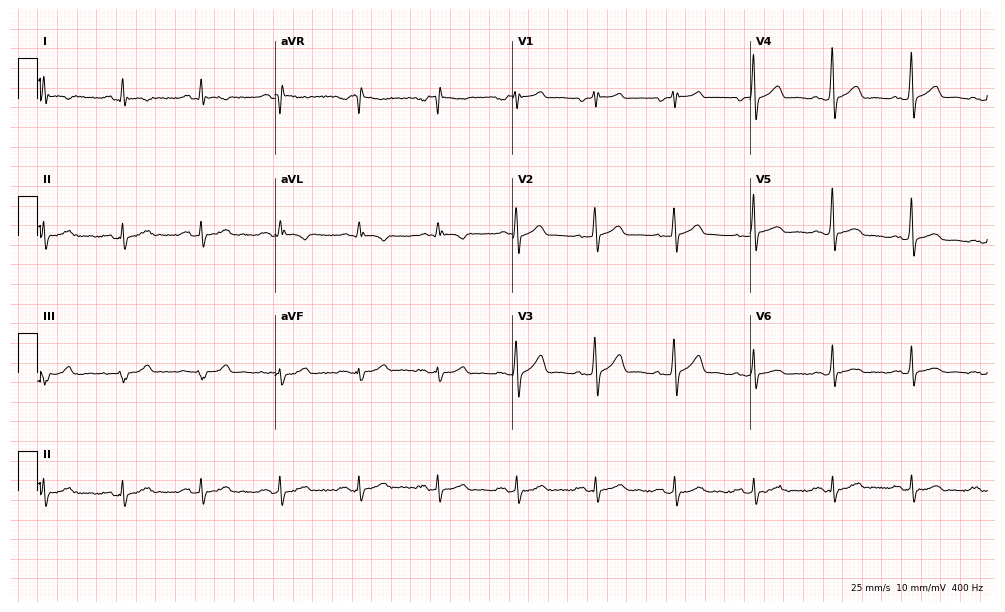
12-lead ECG (9.7-second recording at 400 Hz) from a 53-year-old female patient. Screened for six findings — first-degree AV block, right bundle branch block (RBBB), left bundle branch block (LBBB), sinus bradycardia, atrial fibrillation (AF), sinus tachycardia — none is recorded. Findings outside these six are not listed.